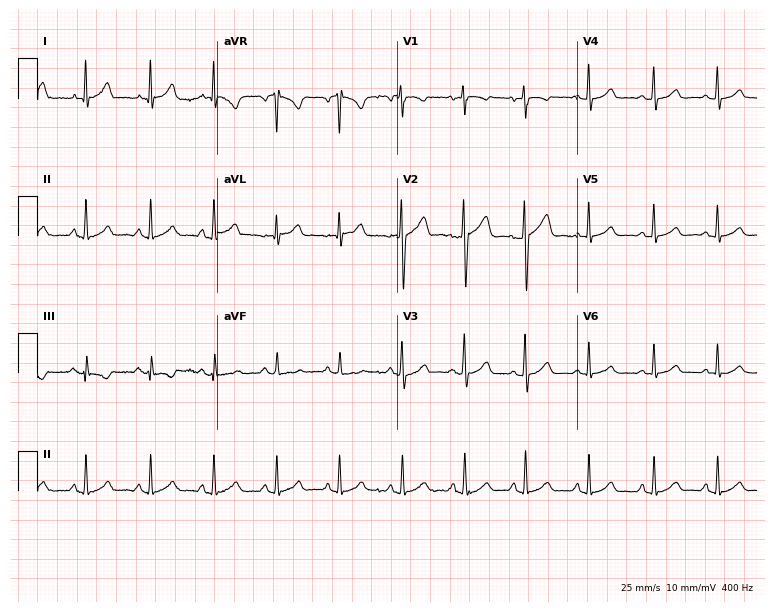
Standard 12-lead ECG recorded from a 23-year-old woman (7.3-second recording at 400 Hz). Read as a normal ECG.